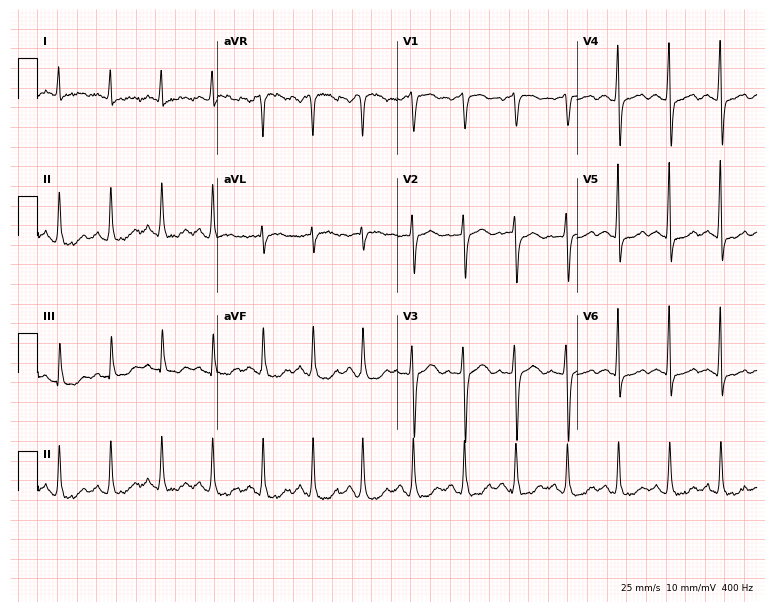
12-lead ECG from a woman, 54 years old (7.3-second recording at 400 Hz). Shows sinus tachycardia (a sinus rate of 100 beats per minute or more).